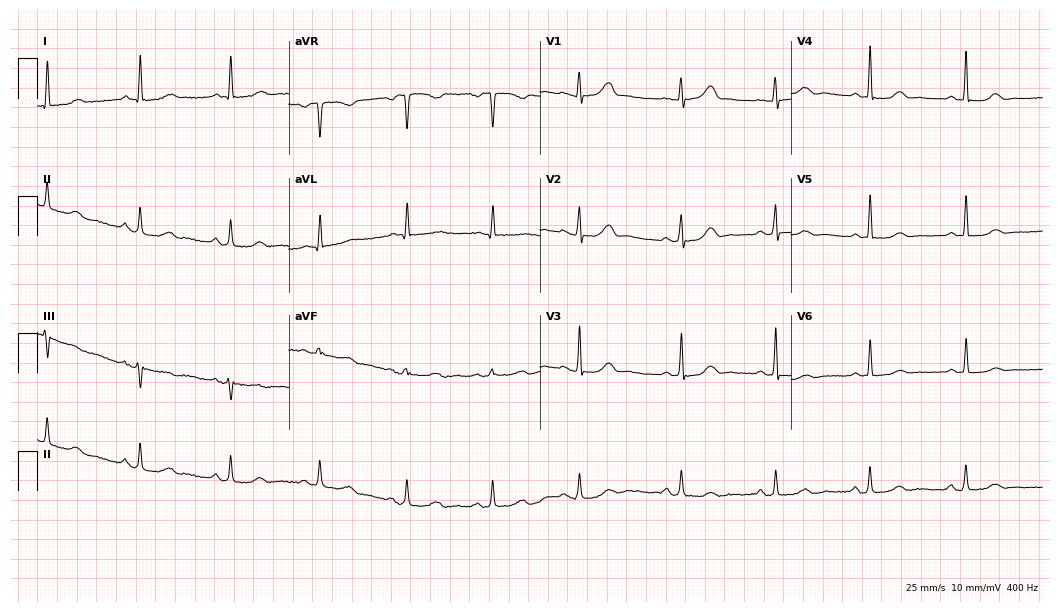
ECG — a woman, 71 years old. Labelled as a normal ECG.